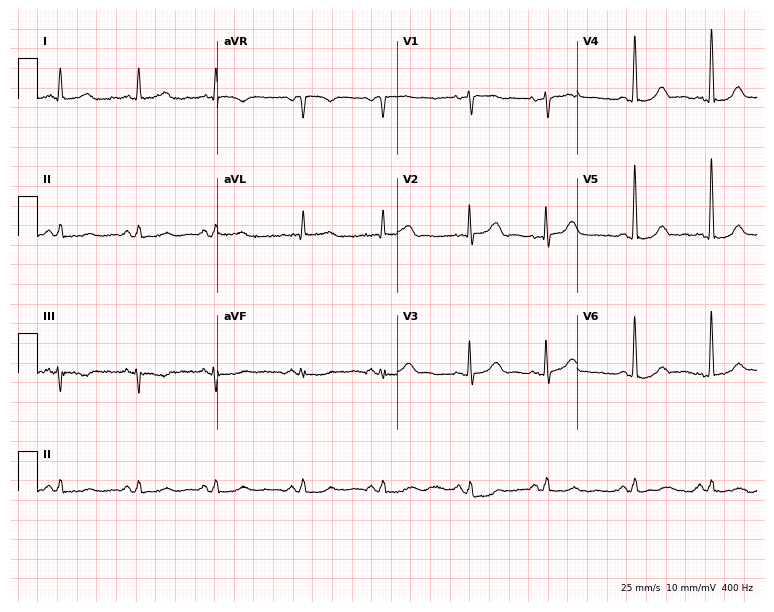
Resting 12-lead electrocardiogram. Patient: a 62-year-old female. None of these six findings is recorded: first-degree AV block, right bundle branch block, left bundle branch block, sinus bradycardia, atrial fibrillation, sinus tachycardia. Findings outside these six are not listed.